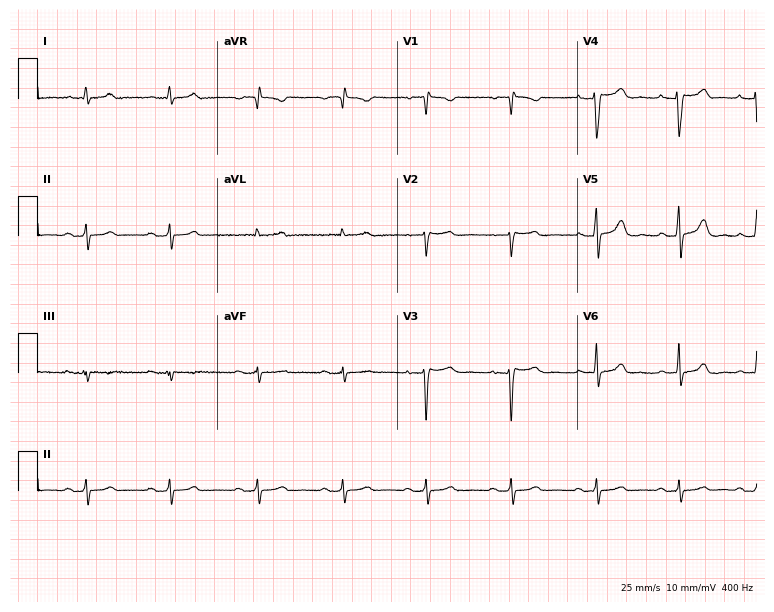
Resting 12-lead electrocardiogram. Patient: a 35-year-old female. None of these six findings is recorded: first-degree AV block, right bundle branch block, left bundle branch block, sinus bradycardia, atrial fibrillation, sinus tachycardia.